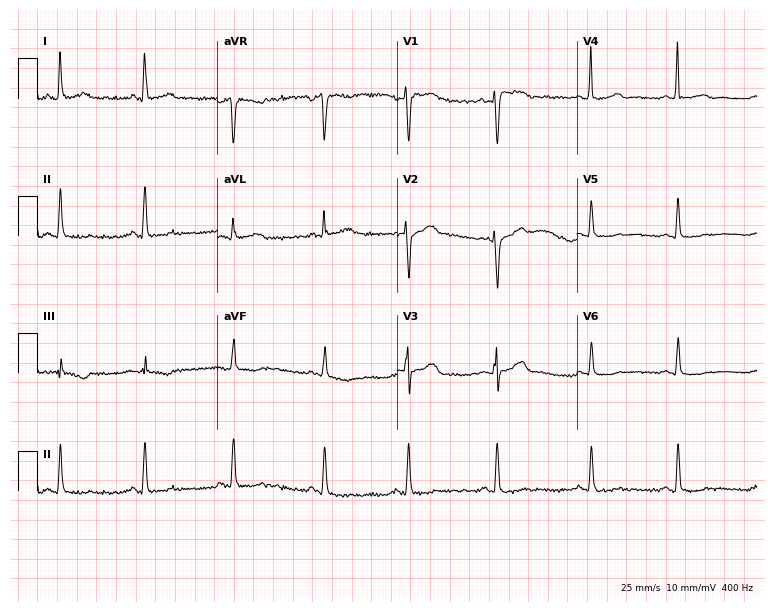
ECG — a 57-year-old woman. Screened for six findings — first-degree AV block, right bundle branch block, left bundle branch block, sinus bradycardia, atrial fibrillation, sinus tachycardia — none is recorded. Only these six findings were labelled.